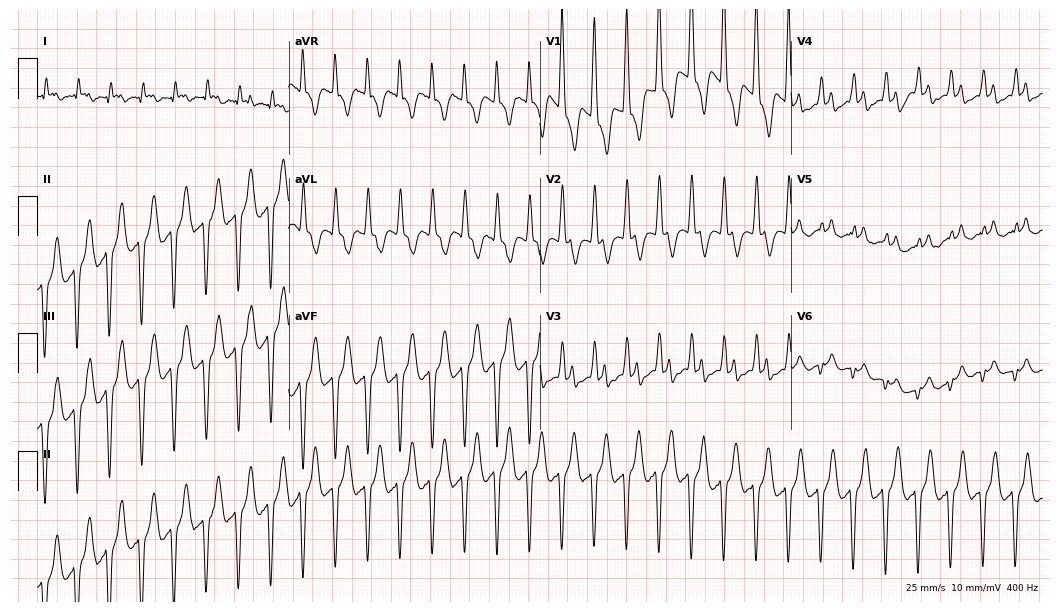
Resting 12-lead electrocardiogram (10.2-second recording at 400 Hz). Patient: a 23-year-old woman. None of these six findings is recorded: first-degree AV block, right bundle branch block (RBBB), left bundle branch block (LBBB), sinus bradycardia, atrial fibrillation (AF), sinus tachycardia. Other findings, if any, are not listed.